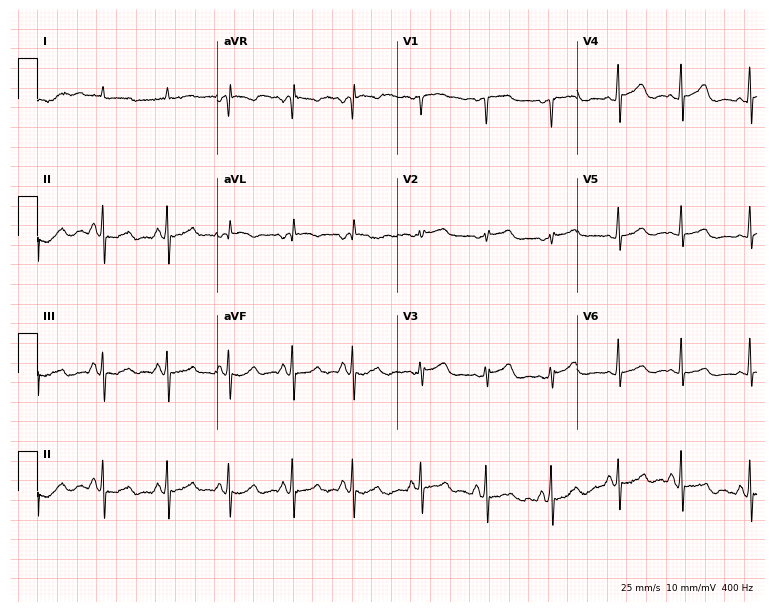
Standard 12-lead ECG recorded from a man, 72 years old. None of these six findings is recorded: first-degree AV block, right bundle branch block (RBBB), left bundle branch block (LBBB), sinus bradycardia, atrial fibrillation (AF), sinus tachycardia.